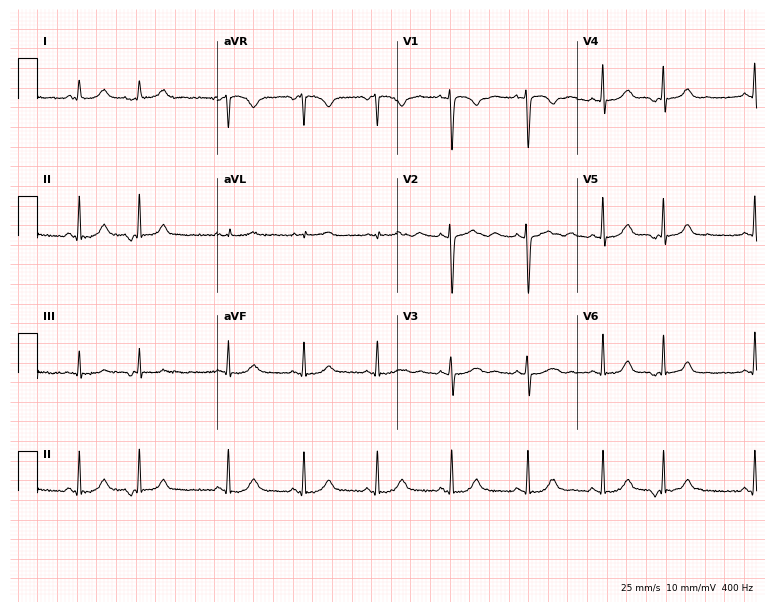
Resting 12-lead electrocardiogram. Patient: a female, 42 years old. None of these six findings is recorded: first-degree AV block, right bundle branch block, left bundle branch block, sinus bradycardia, atrial fibrillation, sinus tachycardia. Findings outside these six are not listed.